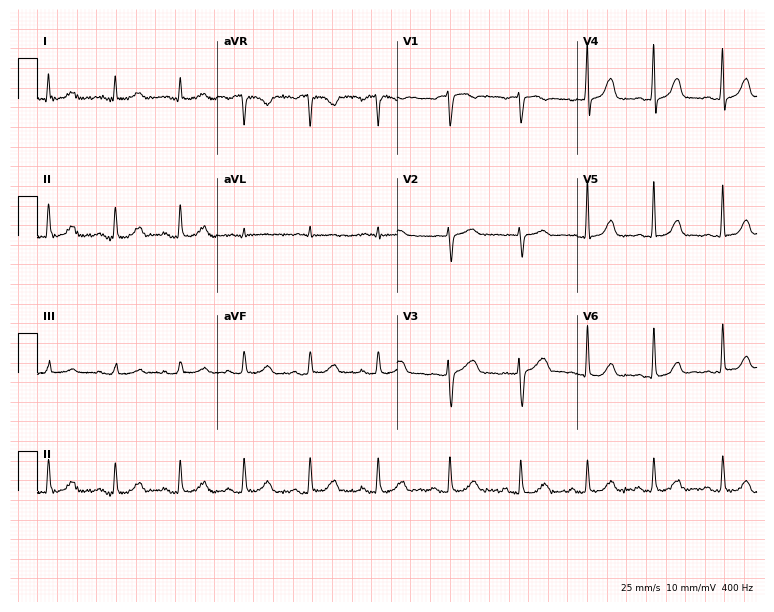
ECG — a 40-year-old female. Labelled as a normal ECG.